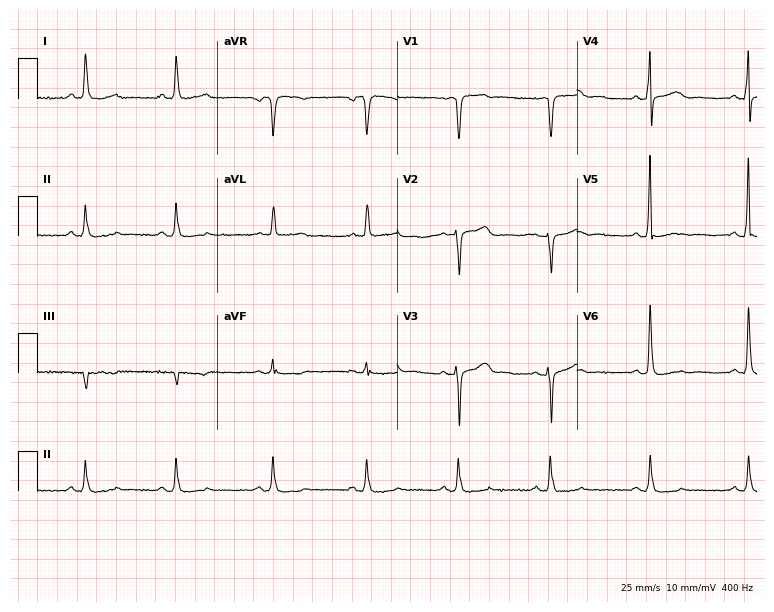
ECG — a 67-year-old man. Screened for six findings — first-degree AV block, right bundle branch block (RBBB), left bundle branch block (LBBB), sinus bradycardia, atrial fibrillation (AF), sinus tachycardia — none is recorded. Findings outside these six are not listed.